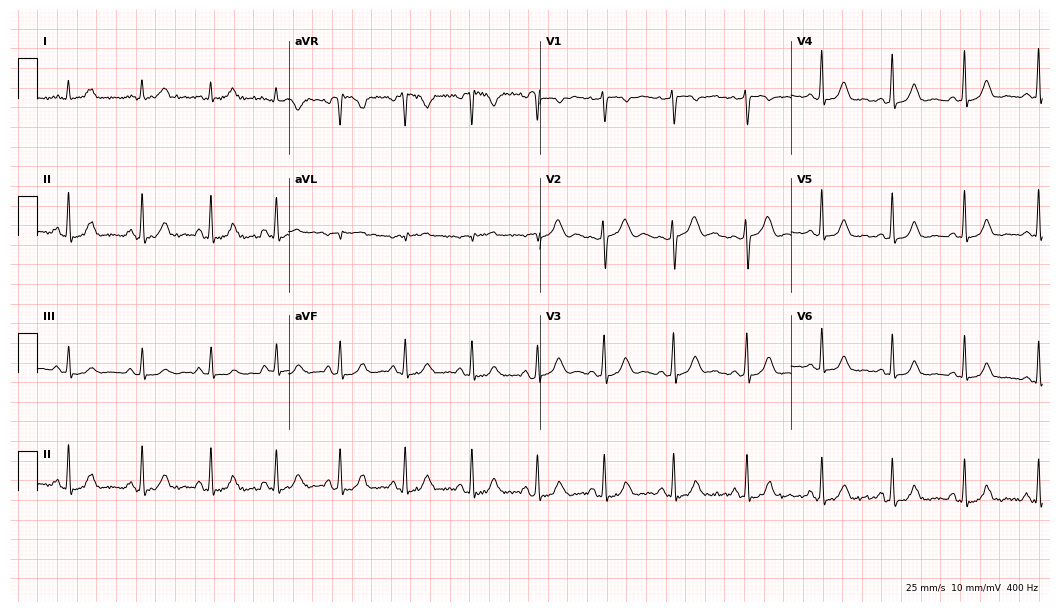
Standard 12-lead ECG recorded from a 30-year-old female patient. Read as a normal ECG.